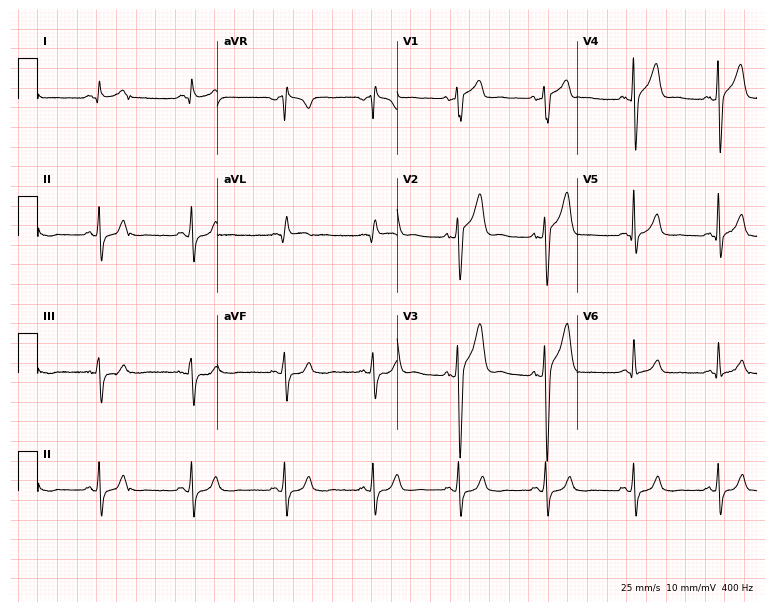
Standard 12-lead ECG recorded from a 38-year-old man (7.3-second recording at 400 Hz). None of these six findings is recorded: first-degree AV block, right bundle branch block (RBBB), left bundle branch block (LBBB), sinus bradycardia, atrial fibrillation (AF), sinus tachycardia. Other findings, if any, are not listed.